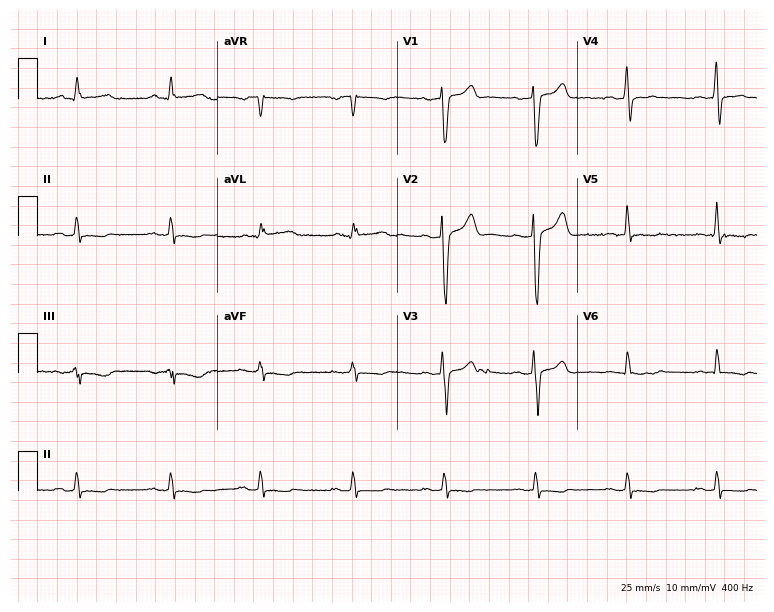
Resting 12-lead electrocardiogram (7.3-second recording at 400 Hz). Patient: a man, 47 years old. None of these six findings is recorded: first-degree AV block, right bundle branch block, left bundle branch block, sinus bradycardia, atrial fibrillation, sinus tachycardia.